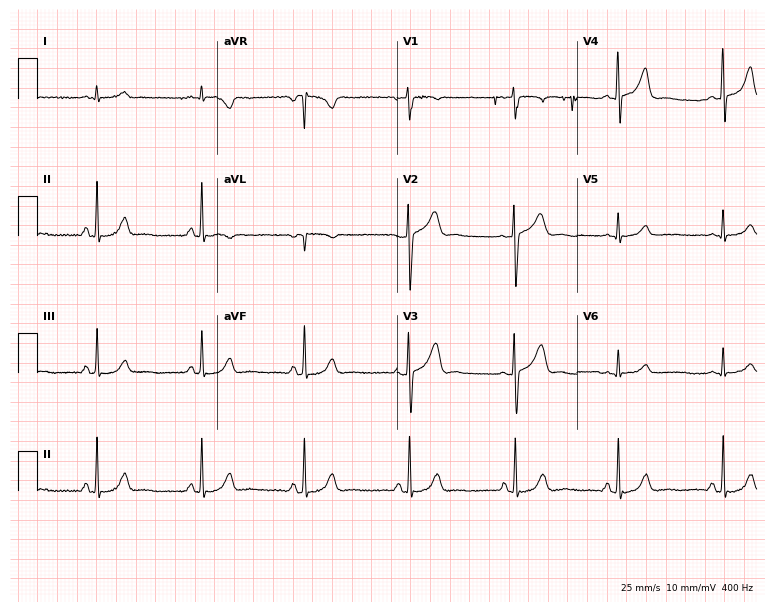
Resting 12-lead electrocardiogram. Patient: a male, 37 years old. Read as a normal ECG.